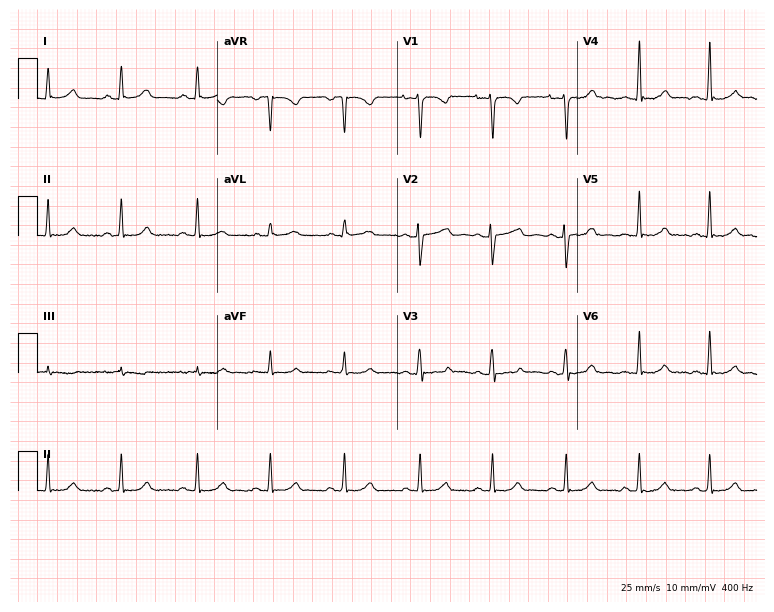
12-lead ECG (7.3-second recording at 400 Hz) from a female patient, 29 years old. Labelled as a normal ECG.